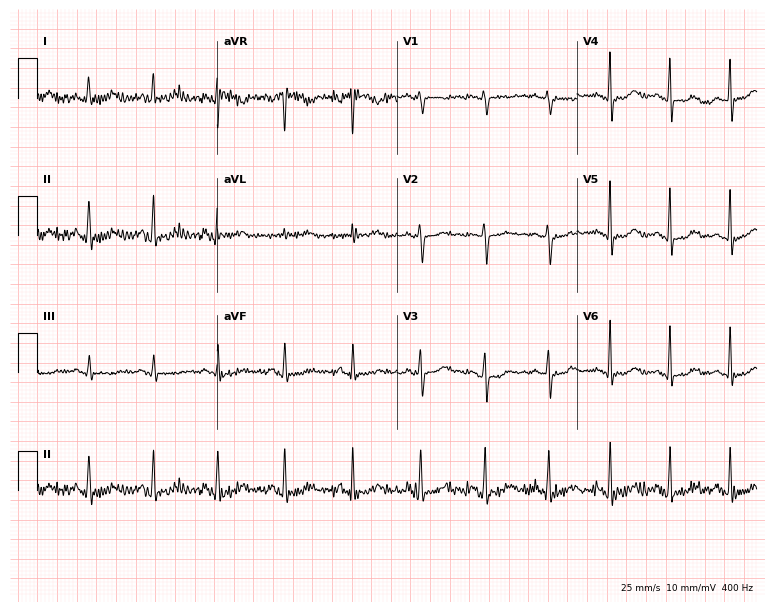
12-lead ECG from a woman, 37 years old. Screened for six findings — first-degree AV block, right bundle branch block, left bundle branch block, sinus bradycardia, atrial fibrillation, sinus tachycardia — none is recorded.